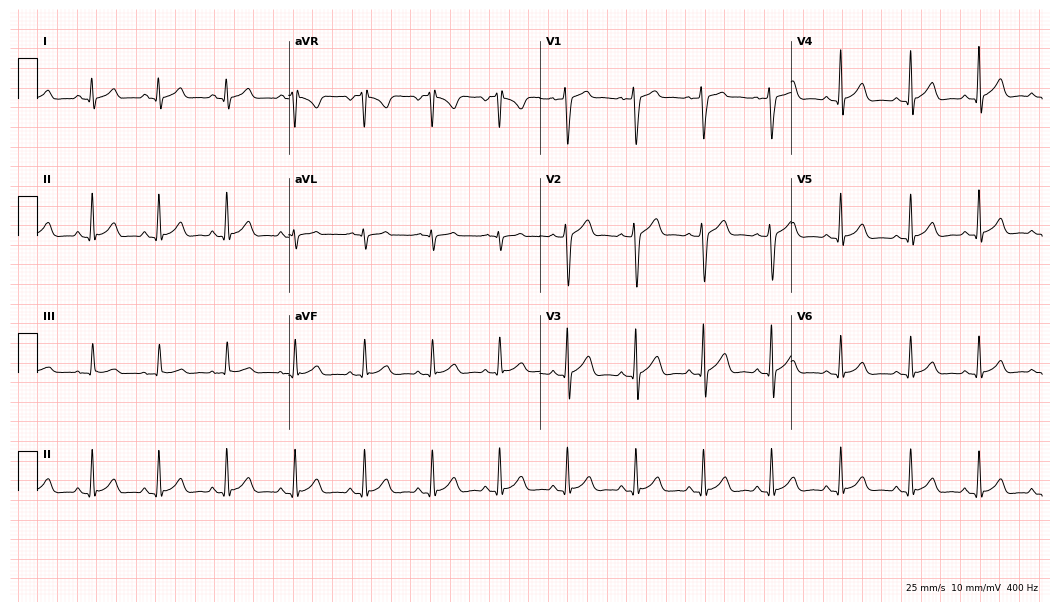
Standard 12-lead ECG recorded from a male patient, 17 years old (10.2-second recording at 400 Hz). Read as a normal ECG.